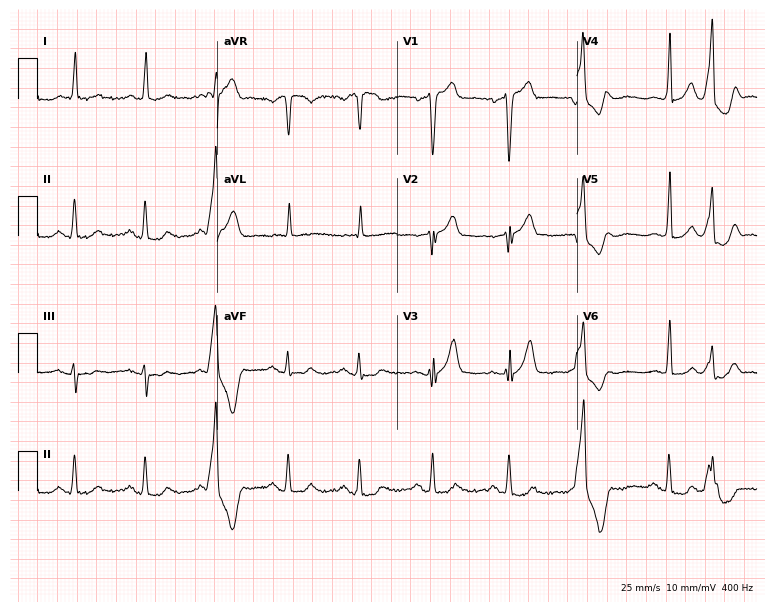
12-lead ECG (7.3-second recording at 400 Hz) from a male patient, 72 years old. Screened for six findings — first-degree AV block, right bundle branch block, left bundle branch block, sinus bradycardia, atrial fibrillation, sinus tachycardia — none is recorded.